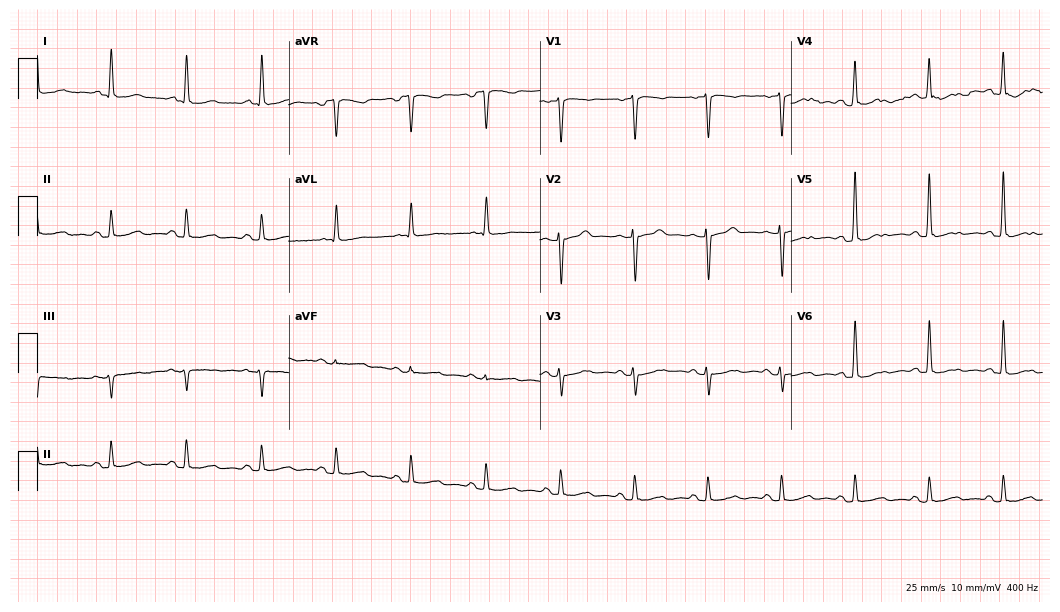
ECG — a man, 60 years old. Screened for six findings — first-degree AV block, right bundle branch block (RBBB), left bundle branch block (LBBB), sinus bradycardia, atrial fibrillation (AF), sinus tachycardia — none is recorded.